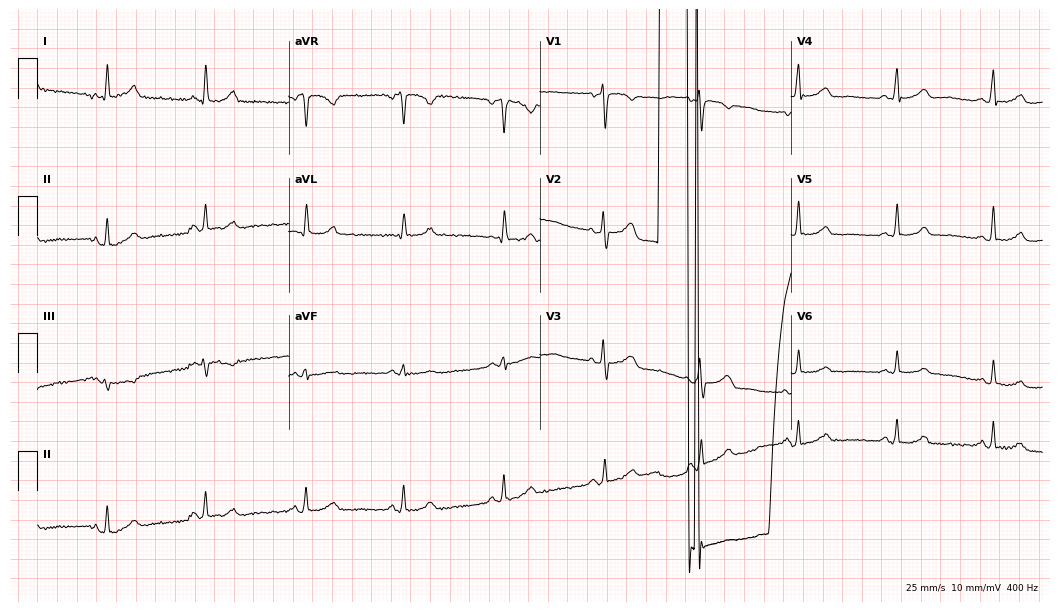
ECG — a 54-year-old female patient. Screened for six findings — first-degree AV block, right bundle branch block, left bundle branch block, sinus bradycardia, atrial fibrillation, sinus tachycardia — none is recorded.